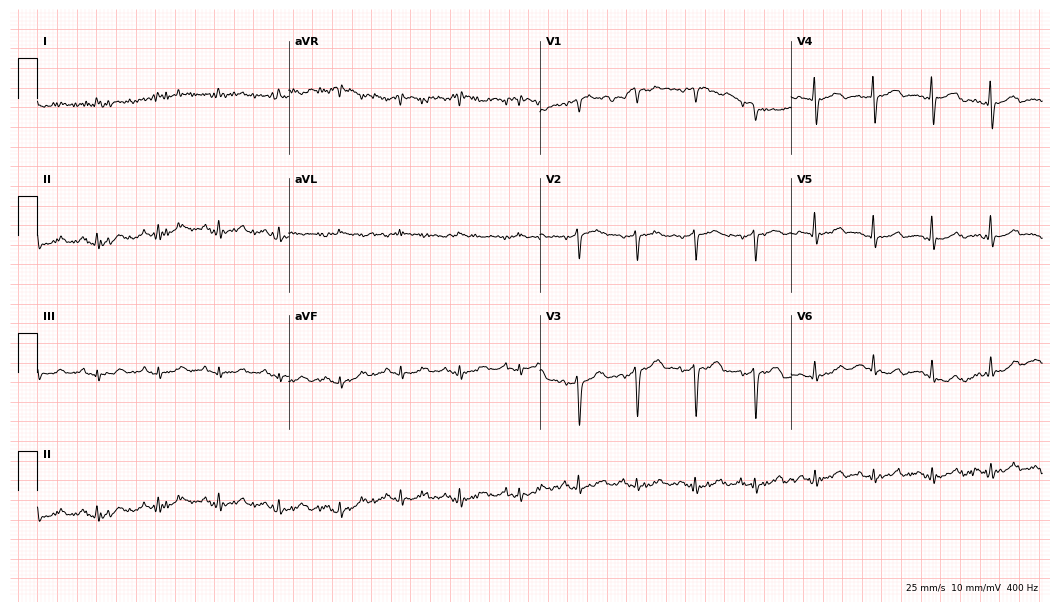
12-lead ECG from a male patient, 87 years old. No first-degree AV block, right bundle branch block, left bundle branch block, sinus bradycardia, atrial fibrillation or sinus tachycardia recorded for this tracing.